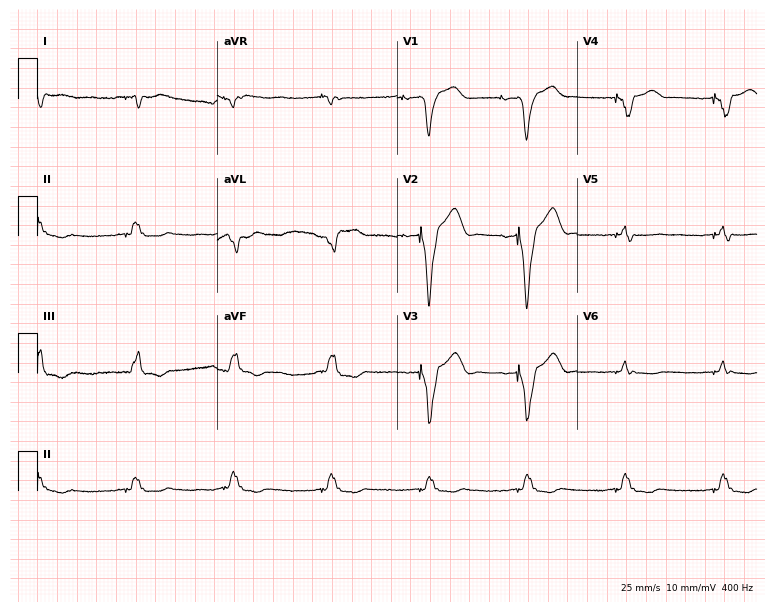
Resting 12-lead electrocardiogram. Patient: a male, 78 years old. None of these six findings is recorded: first-degree AV block, right bundle branch block, left bundle branch block, sinus bradycardia, atrial fibrillation, sinus tachycardia.